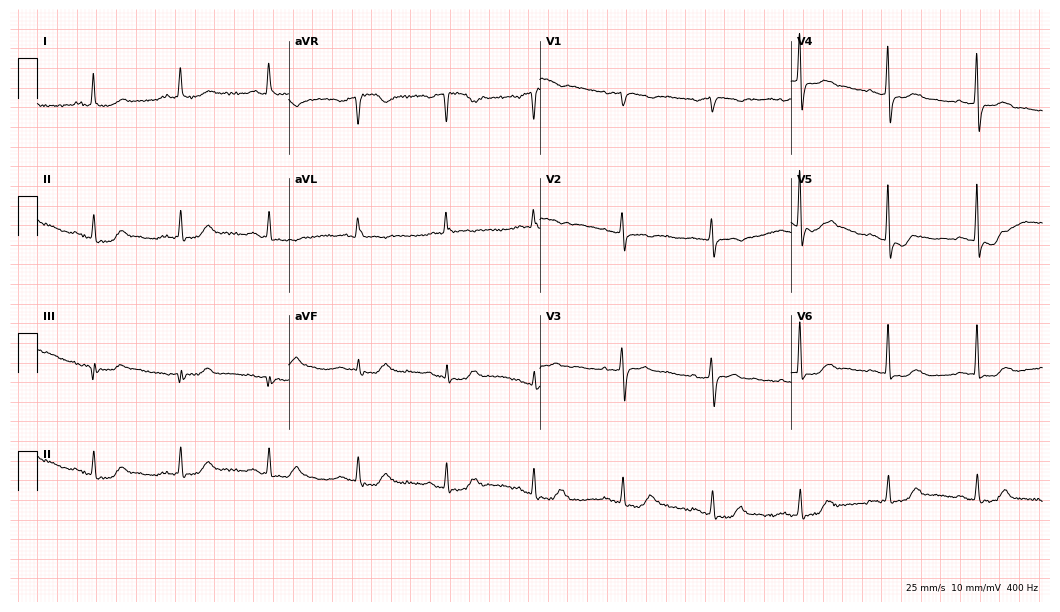
Resting 12-lead electrocardiogram. Patient: a female, 74 years old. None of these six findings is recorded: first-degree AV block, right bundle branch block (RBBB), left bundle branch block (LBBB), sinus bradycardia, atrial fibrillation (AF), sinus tachycardia.